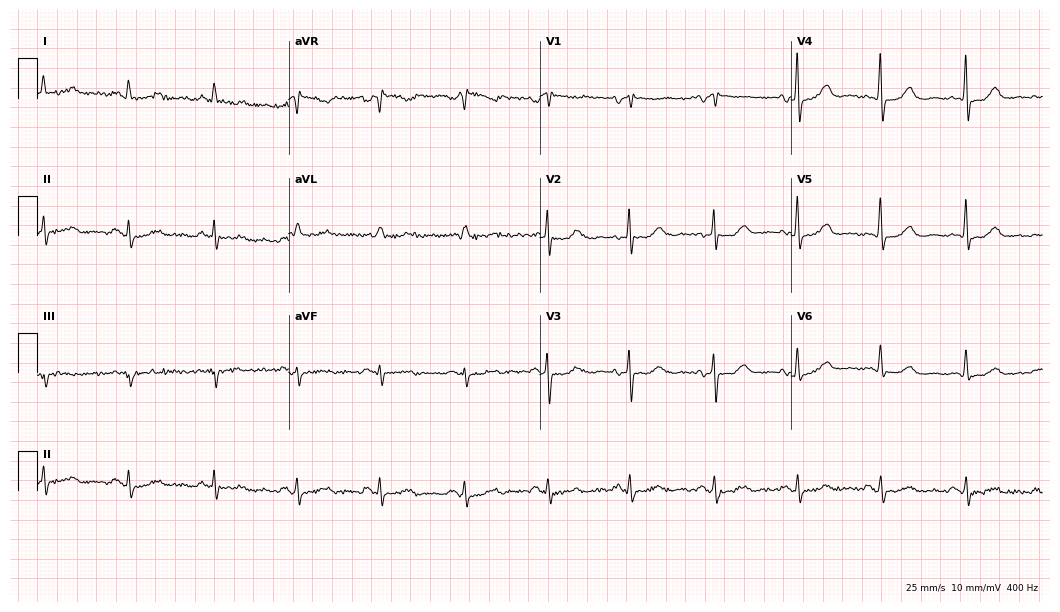
ECG (10.2-second recording at 400 Hz) — a 56-year-old woman. Screened for six findings — first-degree AV block, right bundle branch block, left bundle branch block, sinus bradycardia, atrial fibrillation, sinus tachycardia — none is recorded.